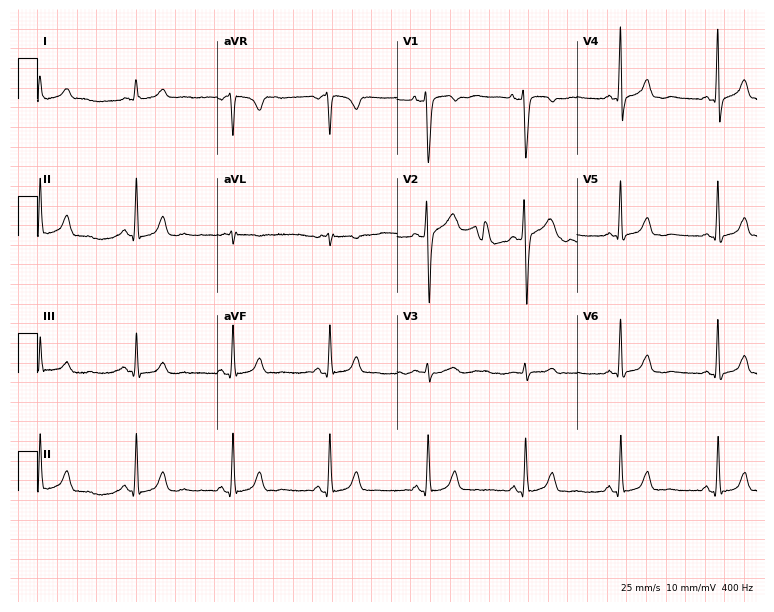
ECG — a 36-year-old woman. Labelled as a normal ECG.